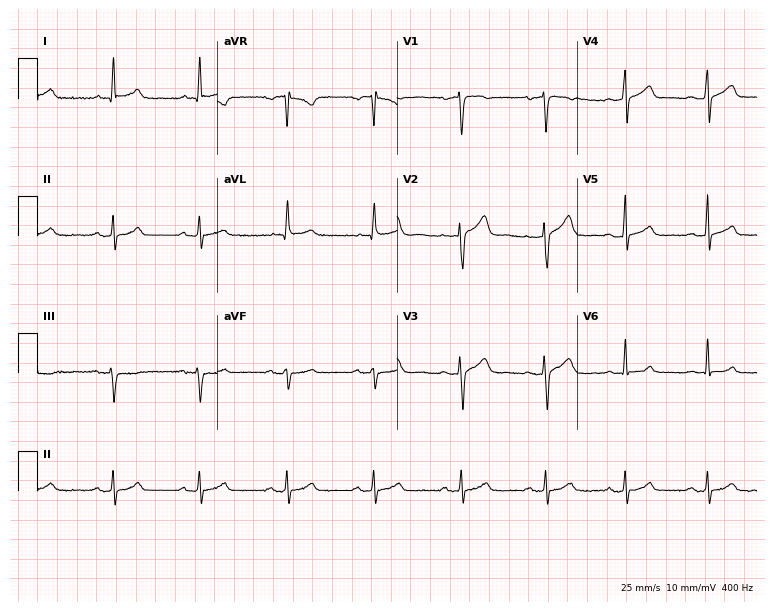
Electrocardiogram (7.3-second recording at 400 Hz), a male, 27 years old. Overall reading on record: normal ECG.